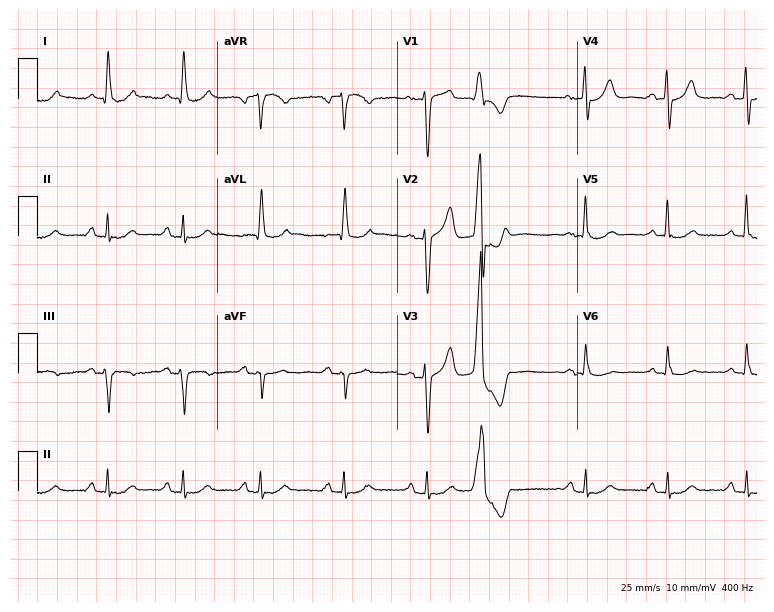
ECG (7.3-second recording at 400 Hz) — a male patient, 63 years old. Screened for six findings — first-degree AV block, right bundle branch block, left bundle branch block, sinus bradycardia, atrial fibrillation, sinus tachycardia — none is recorded.